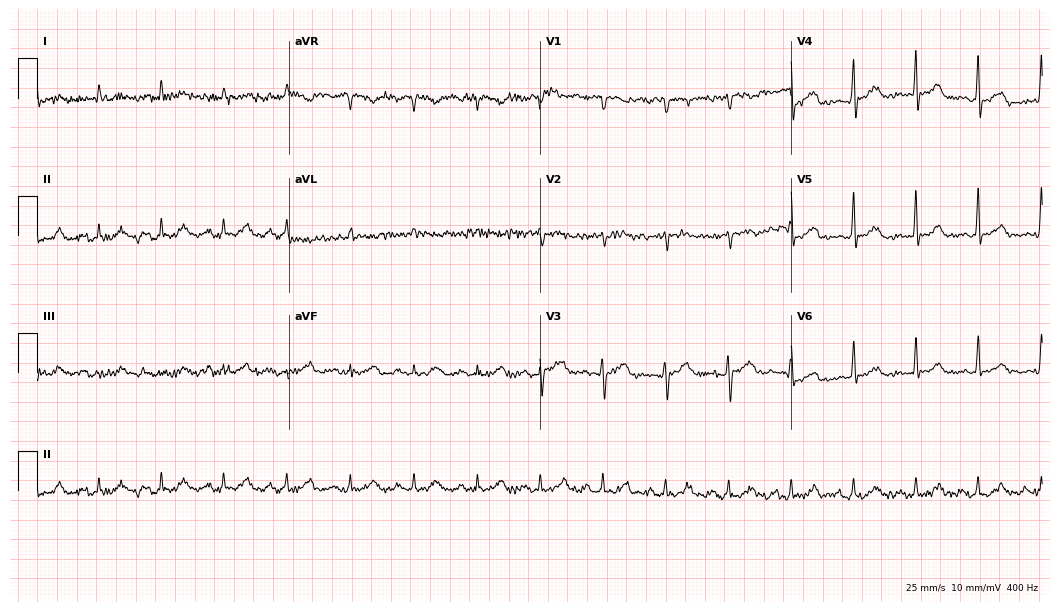
ECG — a man, 71 years old. Screened for six findings — first-degree AV block, right bundle branch block (RBBB), left bundle branch block (LBBB), sinus bradycardia, atrial fibrillation (AF), sinus tachycardia — none is recorded.